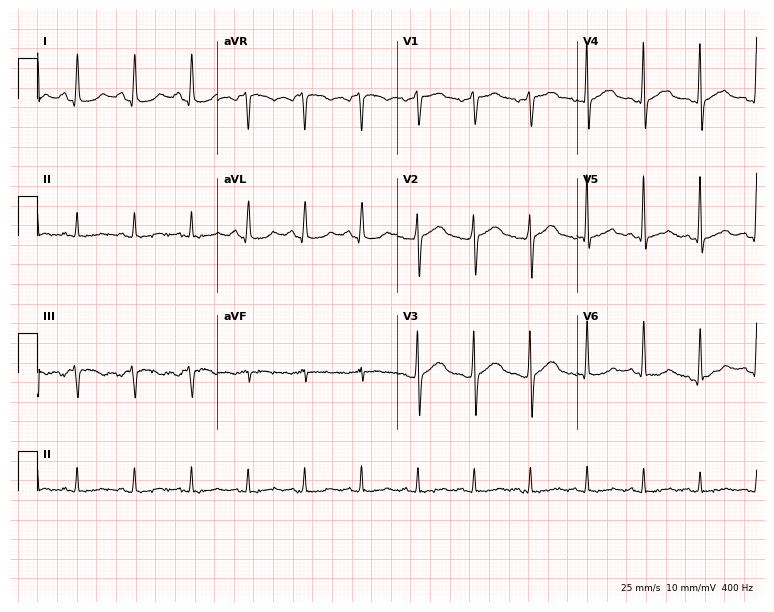
12-lead ECG from a man, 60 years old. Findings include sinus tachycardia (a sinus rate of 100 beats per minute or more).